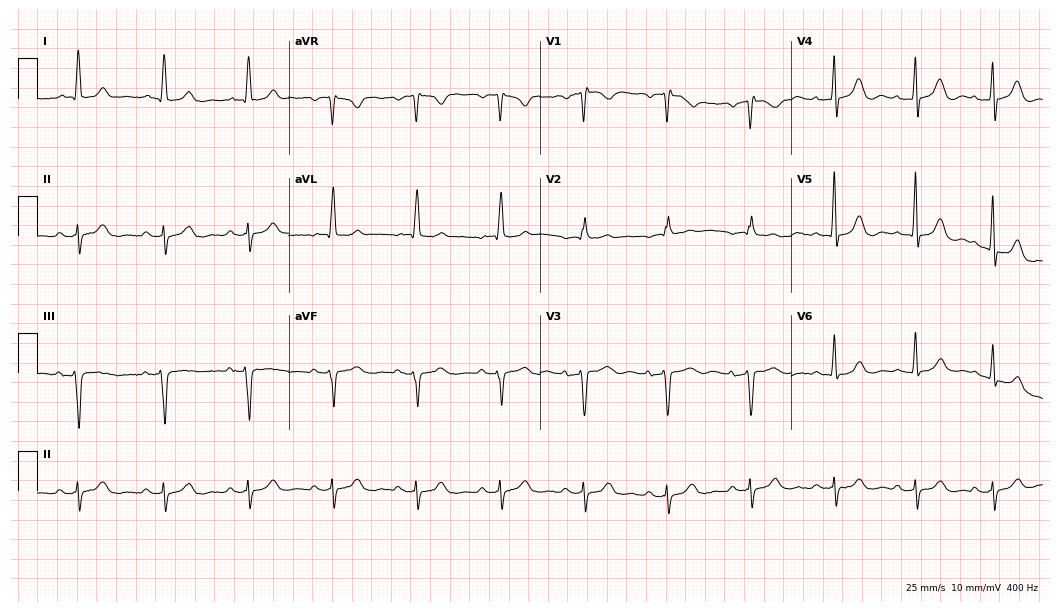
12-lead ECG (10.2-second recording at 400 Hz) from a male patient, 83 years old. Screened for six findings — first-degree AV block, right bundle branch block, left bundle branch block, sinus bradycardia, atrial fibrillation, sinus tachycardia — none is recorded. Other findings, if any, are not listed.